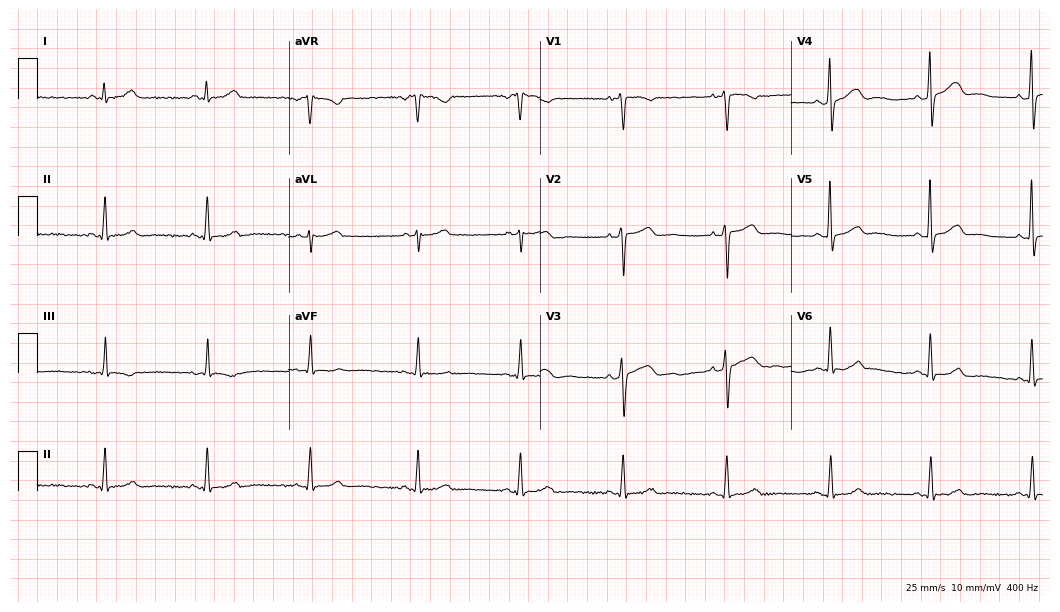
12-lead ECG from a female patient, 40 years old. No first-degree AV block, right bundle branch block, left bundle branch block, sinus bradycardia, atrial fibrillation or sinus tachycardia recorded for this tracing. Other findings, if any, are not listed.